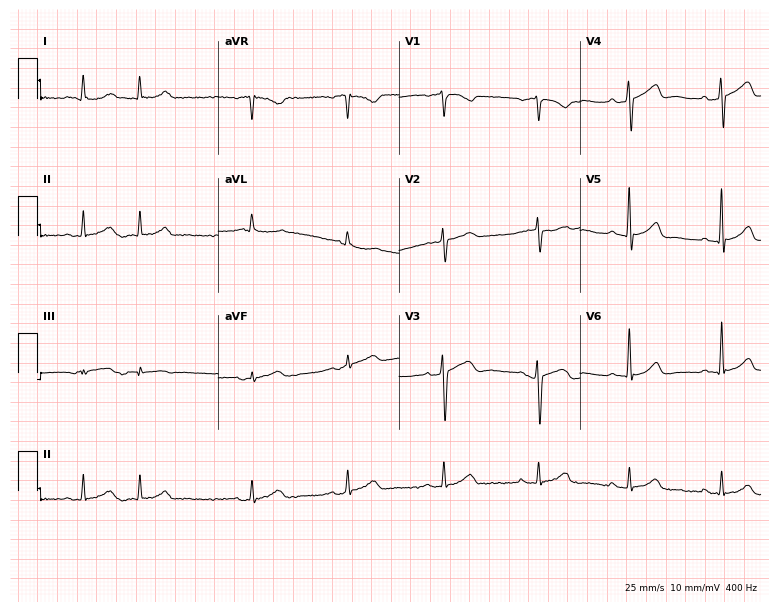
Standard 12-lead ECG recorded from a female, 82 years old. Read as a normal ECG.